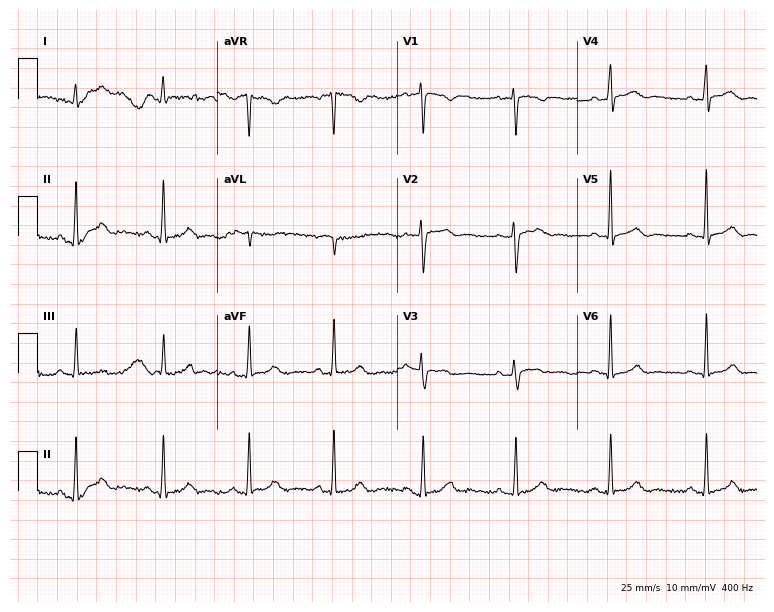
Resting 12-lead electrocardiogram (7.3-second recording at 400 Hz). Patient: a 48-year-old female. None of these six findings is recorded: first-degree AV block, right bundle branch block, left bundle branch block, sinus bradycardia, atrial fibrillation, sinus tachycardia.